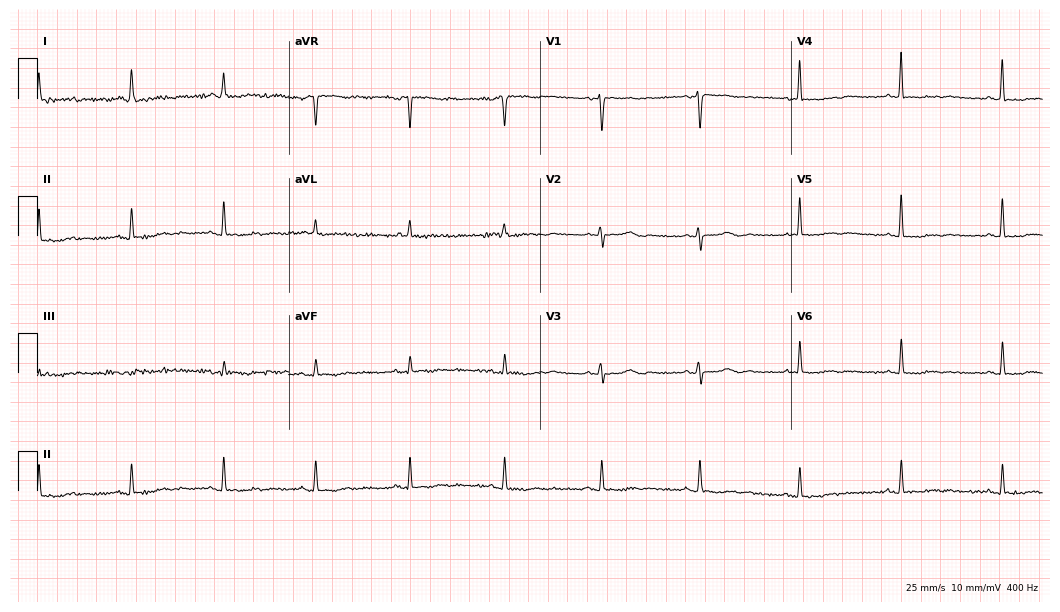
Standard 12-lead ECG recorded from a female, 79 years old. None of these six findings is recorded: first-degree AV block, right bundle branch block, left bundle branch block, sinus bradycardia, atrial fibrillation, sinus tachycardia. Findings outside these six are not listed.